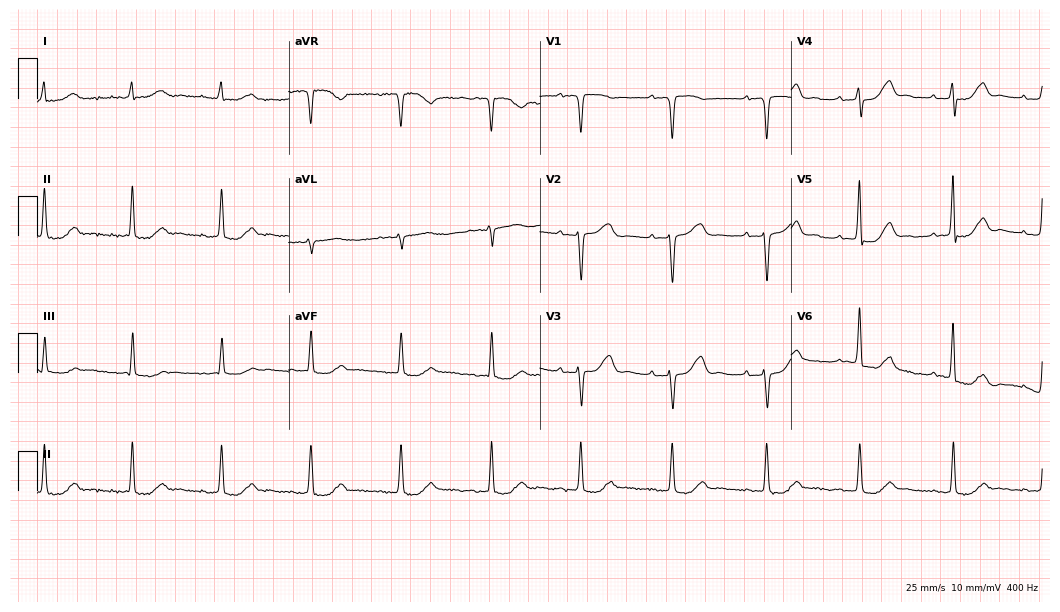
Resting 12-lead electrocardiogram (10.2-second recording at 400 Hz). Patient: a female, 72 years old. Read as a normal ECG.